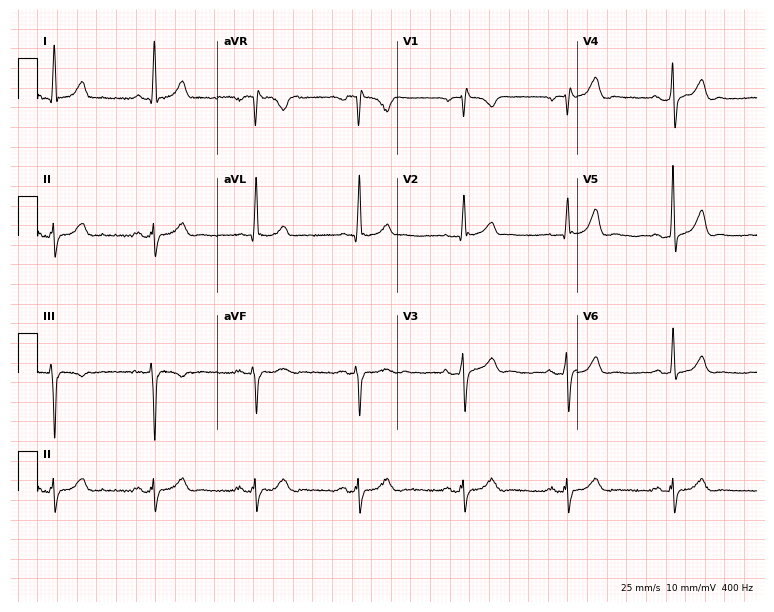
ECG (7.3-second recording at 400 Hz) — a 57-year-old man. Labelled as a normal ECG.